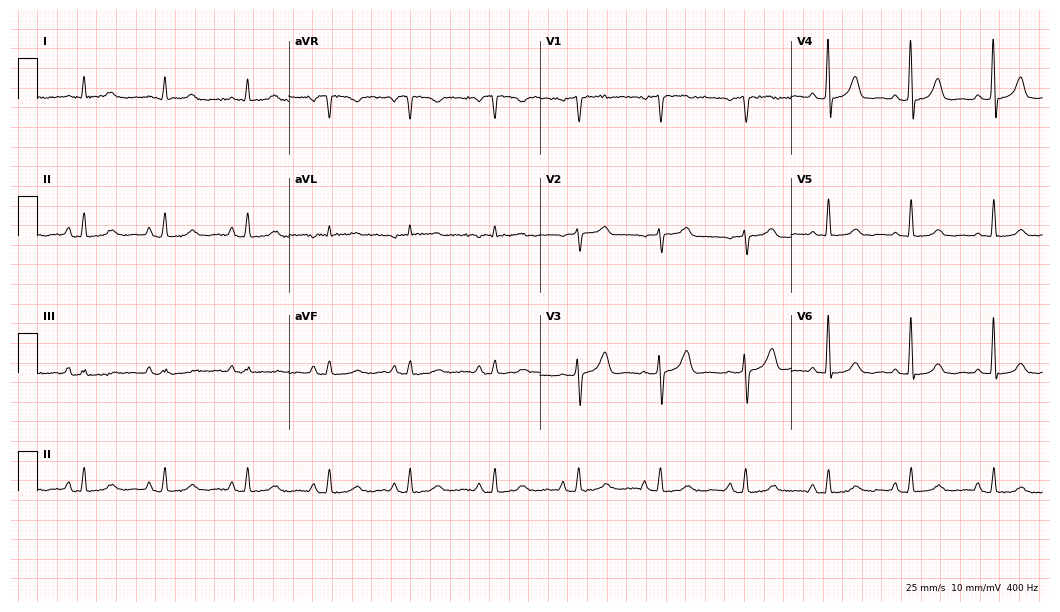
12-lead ECG (10.2-second recording at 400 Hz) from a woman, 67 years old. Labelled as a normal ECG.